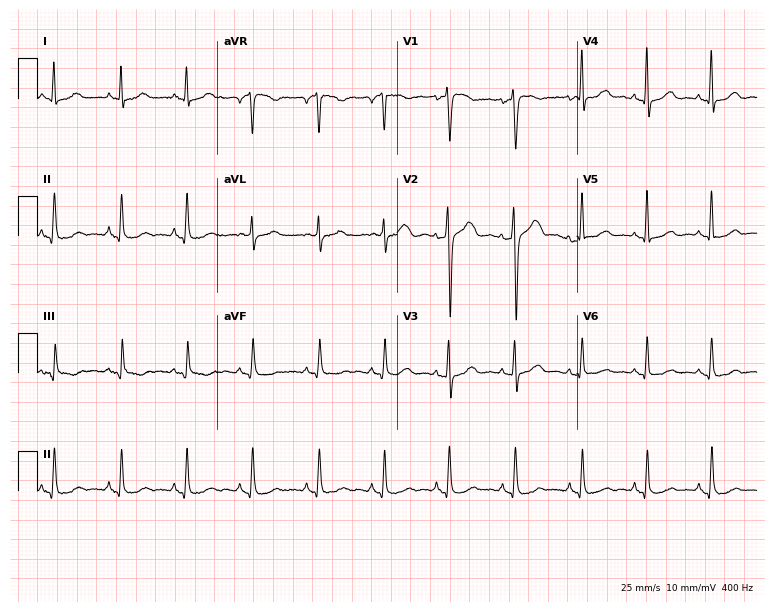
12-lead ECG from a 63-year-old woman. No first-degree AV block, right bundle branch block, left bundle branch block, sinus bradycardia, atrial fibrillation or sinus tachycardia recorded for this tracing.